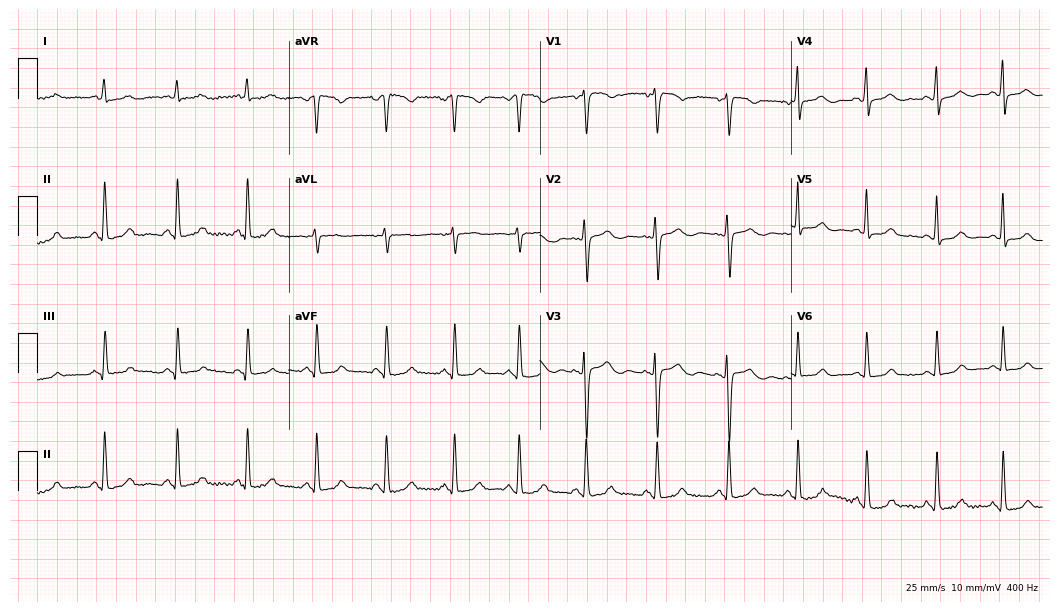
Electrocardiogram (10.2-second recording at 400 Hz), a 24-year-old female patient. Overall reading on record: normal ECG.